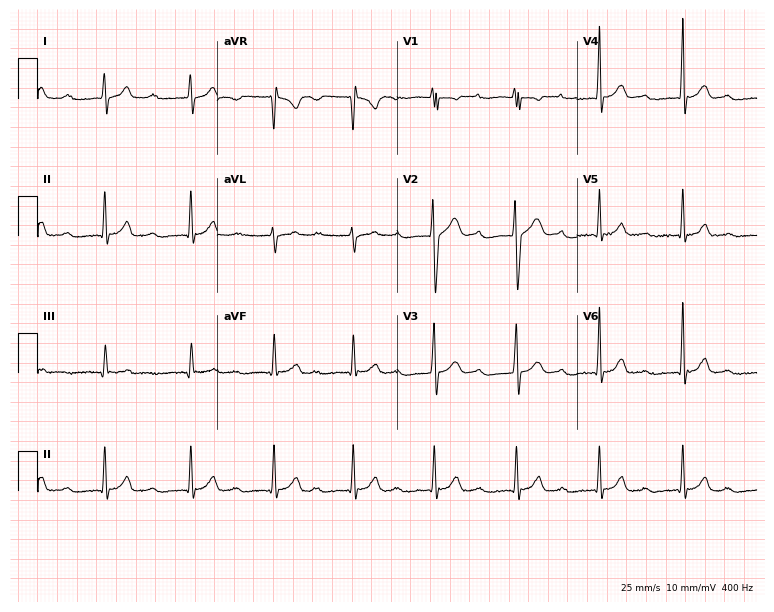
Standard 12-lead ECG recorded from an 18-year-old male patient. Read as a normal ECG.